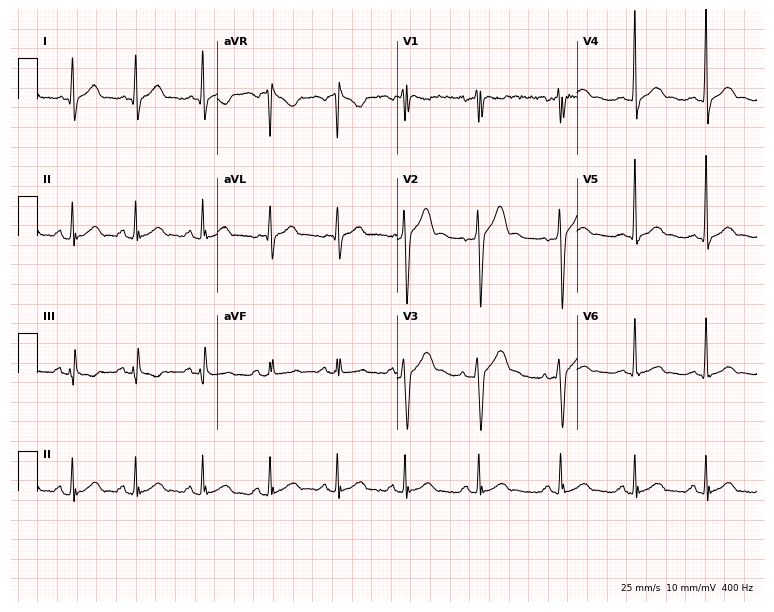
ECG — a 17-year-old male. Screened for six findings — first-degree AV block, right bundle branch block (RBBB), left bundle branch block (LBBB), sinus bradycardia, atrial fibrillation (AF), sinus tachycardia — none is recorded. Findings outside these six are not listed.